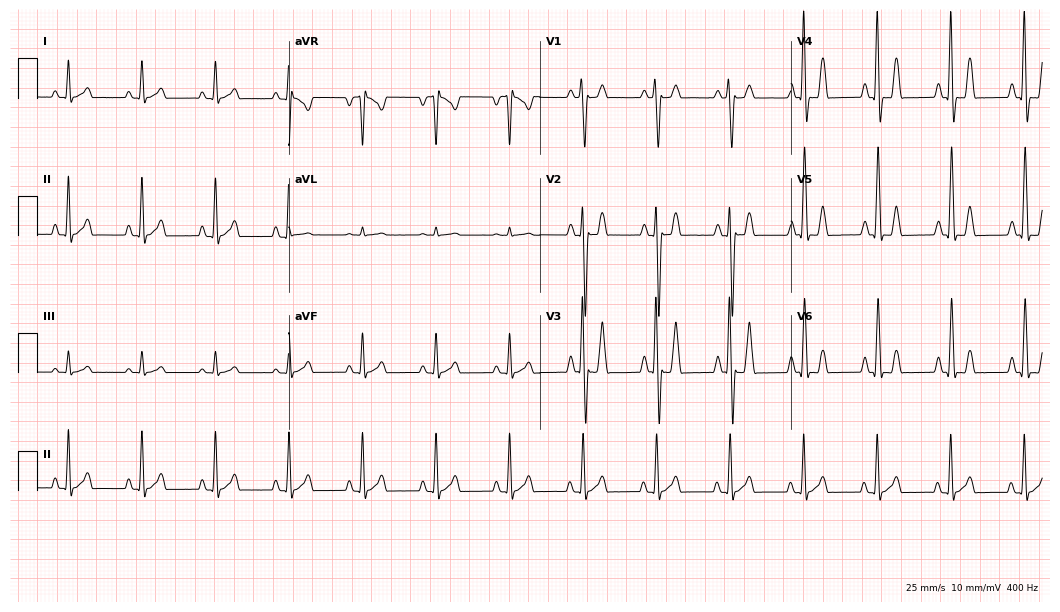
Resting 12-lead electrocardiogram (10.2-second recording at 400 Hz). Patient: a 24-year-old male. Read as a normal ECG.